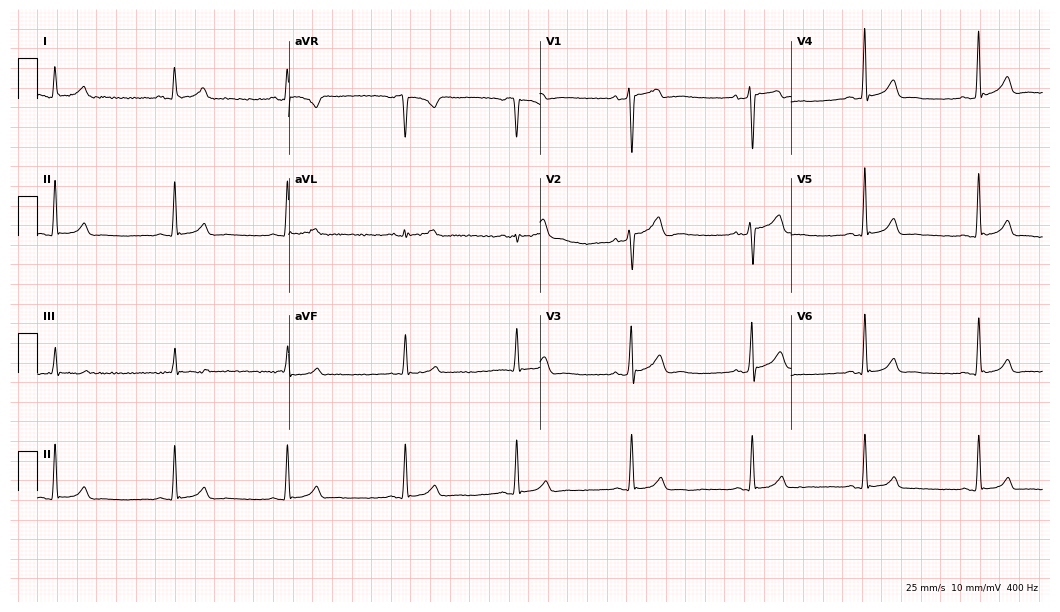
Resting 12-lead electrocardiogram. Patient: a 39-year-old man. Read as a normal ECG.